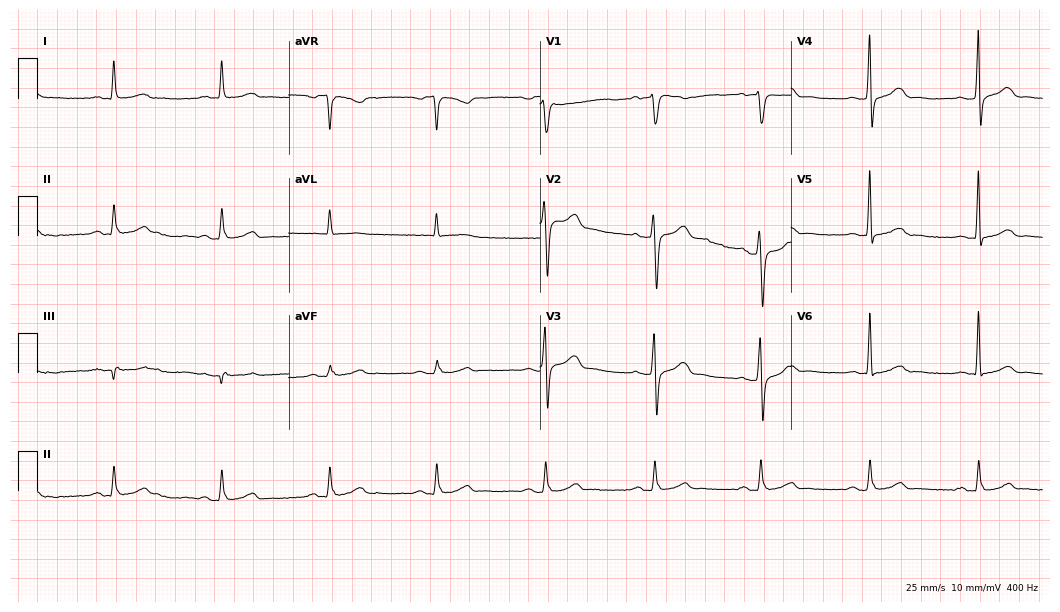
Standard 12-lead ECG recorded from a 59-year-old male. None of these six findings is recorded: first-degree AV block, right bundle branch block, left bundle branch block, sinus bradycardia, atrial fibrillation, sinus tachycardia. Other findings, if any, are not listed.